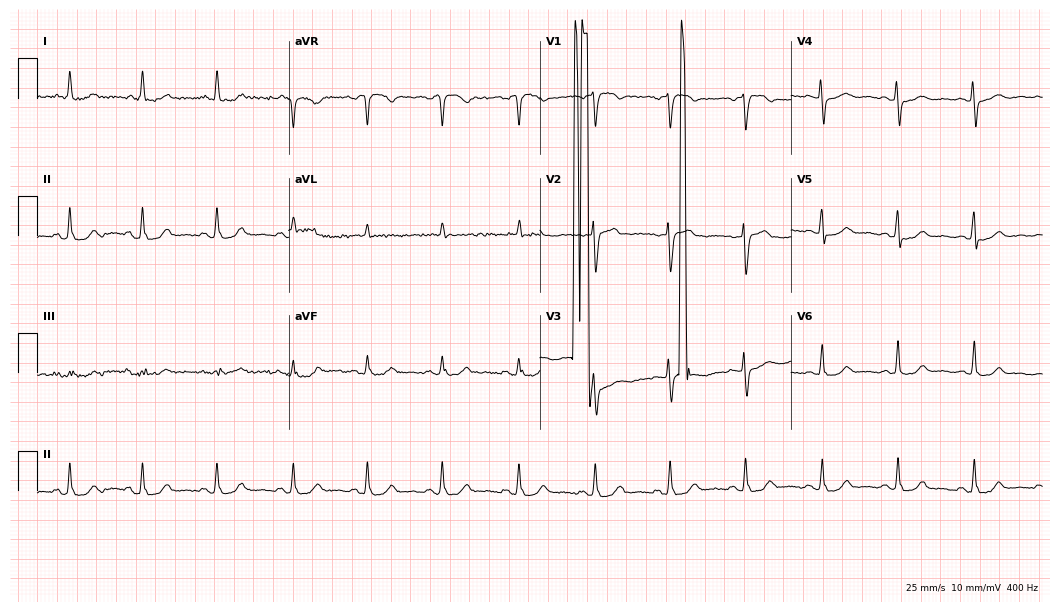
Resting 12-lead electrocardiogram. Patient: a female, 61 years old. None of these six findings is recorded: first-degree AV block, right bundle branch block, left bundle branch block, sinus bradycardia, atrial fibrillation, sinus tachycardia.